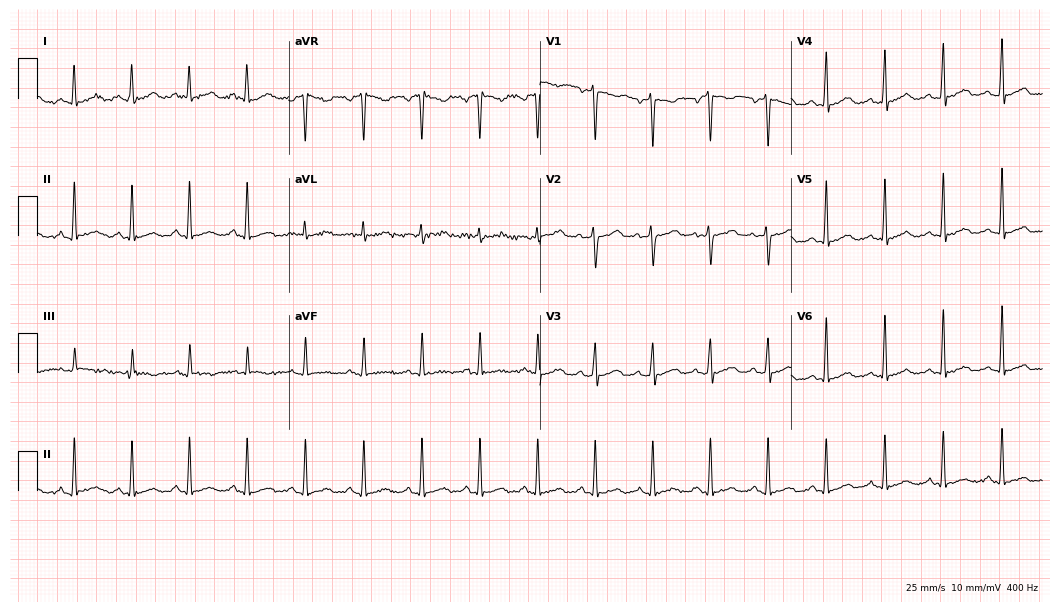
Resting 12-lead electrocardiogram. Patient: a female, 30 years old. None of these six findings is recorded: first-degree AV block, right bundle branch block, left bundle branch block, sinus bradycardia, atrial fibrillation, sinus tachycardia. Other findings, if any, are not listed.